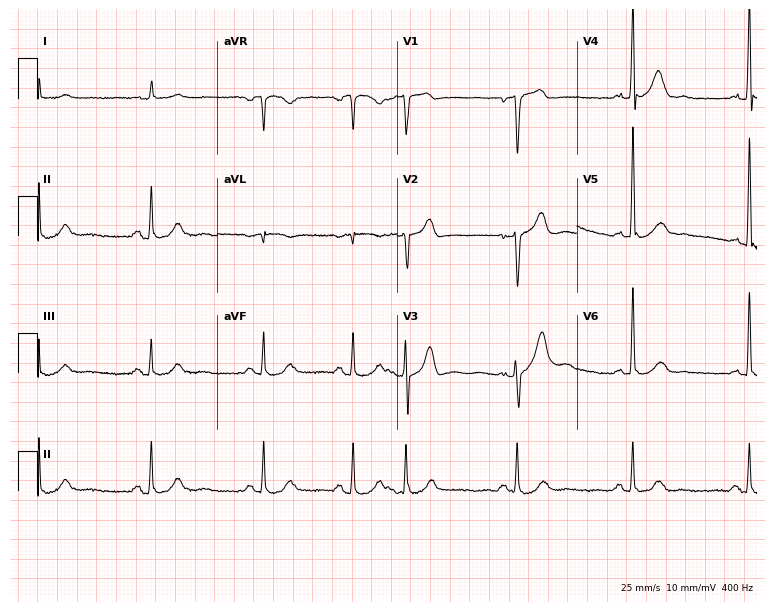
ECG (7.3-second recording at 400 Hz) — a male, 72 years old. Screened for six findings — first-degree AV block, right bundle branch block (RBBB), left bundle branch block (LBBB), sinus bradycardia, atrial fibrillation (AF), sinus tachycardia — none is recorded. Other findings, if any, are not listed.